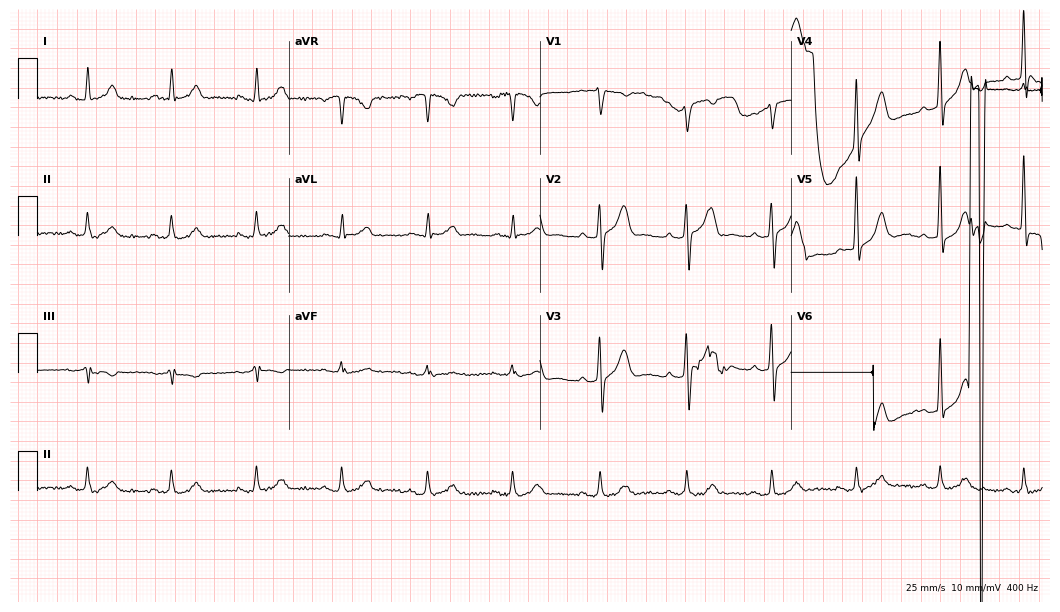
Resting 12-lead electrocardiogram. Patient: a man, 53 years old. None of these six findings is recorded: first-degree AV block, right bundle branch block, left bundle branch block, sinus bradycardia, atrial fibrillation, sinus tachycardia.